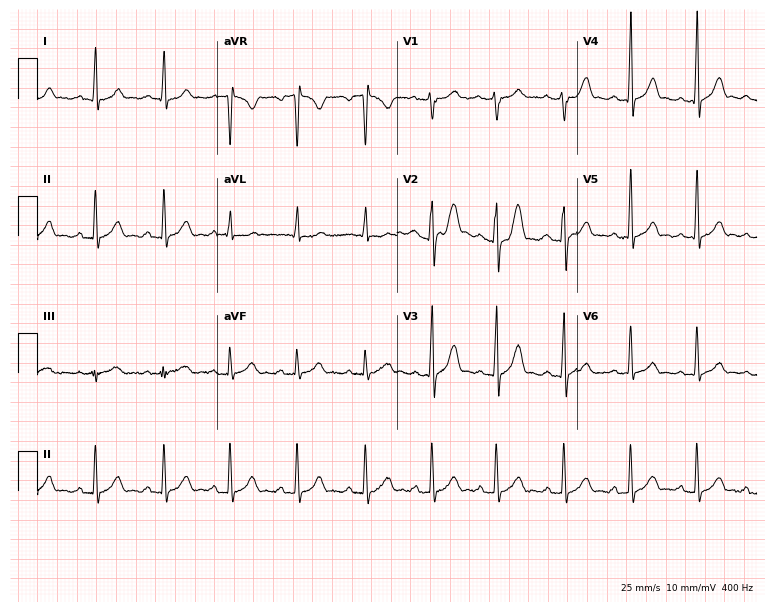
Standard 12-lead ECG recorded from a male patient, 19 years old (7.3-second recording at 400 Hz). Read as a normal ECG.